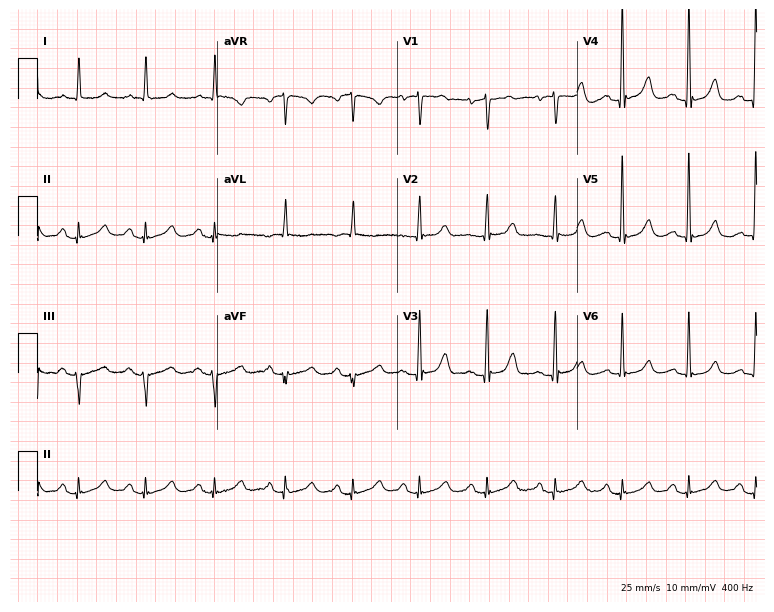
Resting 12-lead electrocardiogram (7.3-second recording at 400 Hz). Patient: an 84-year-old female. Read as a normal ECG.